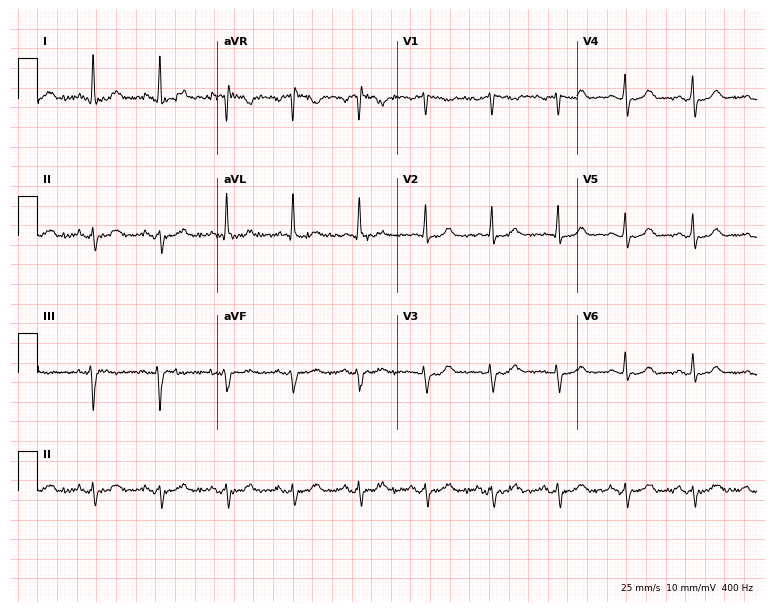
12-lead ECG (7.3-second recording at 400 Hz) from a 59-year-old woman. Screened for six findings — first-degree AV block, right bundle branch block, left bundle branch block, sinus bradycardia, atrial fibrillation, sinus tachycardia — none is recorded. Only these six findings were labelled.